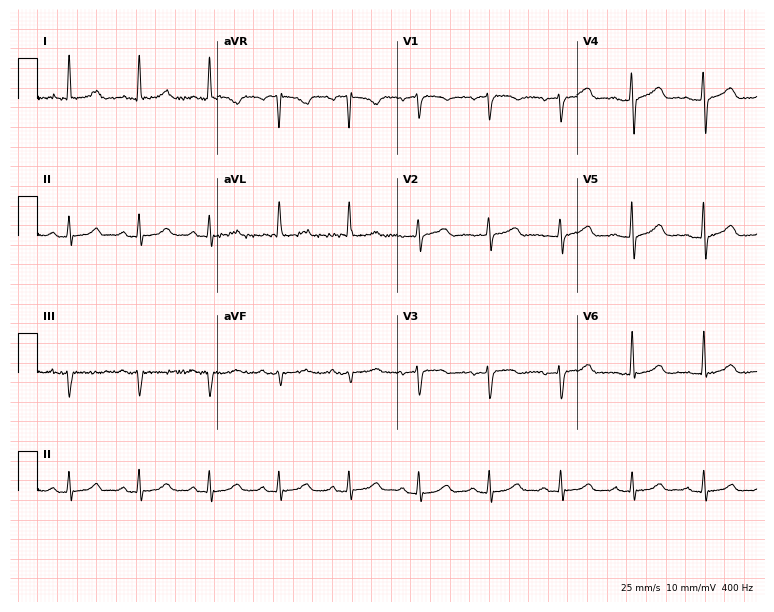
12-lead ECG (7.3-second recording at 400 Hz) from a 62-year-old female. Labelled as a normal ECG.